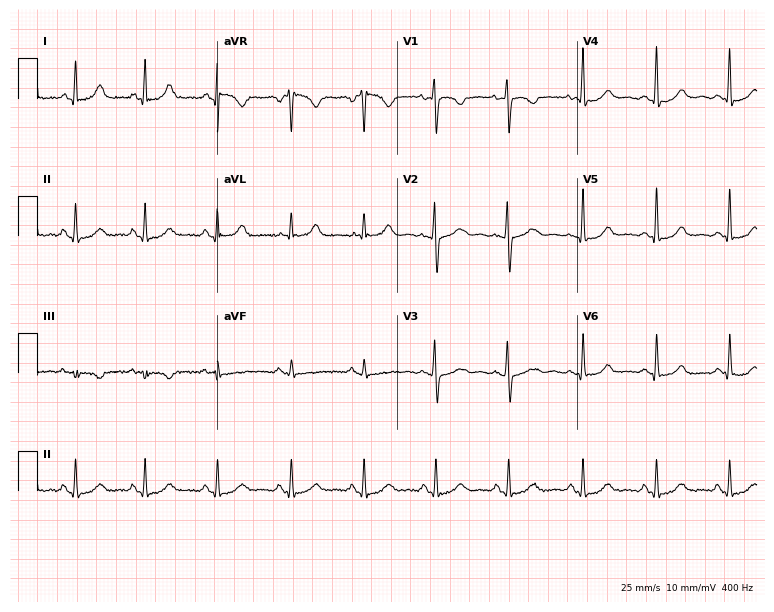
ECG — a female patient, 36 years old. Labelled as a normal ECG.